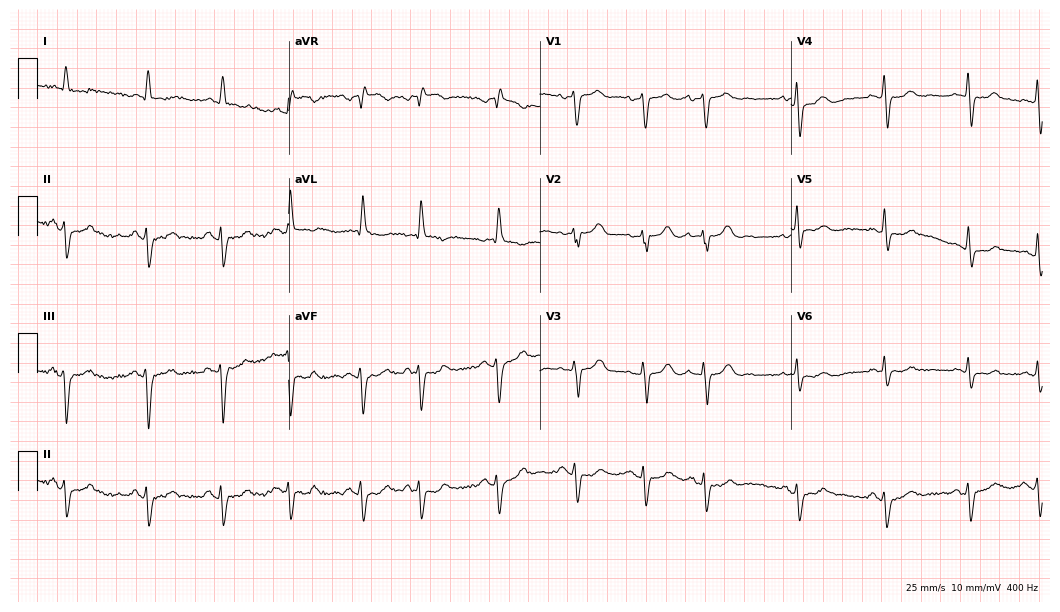
12-lead ECG (10.2-second recording at 400 Hz) from an 82-year-old male patient. Screened for six findings — first-degree AV block, right bundle branch block (RBBB), left bundle branch block (LBBB), sinus bradycardia, atrial fibrillation (AF), sinus tachycardia — none is recorded.